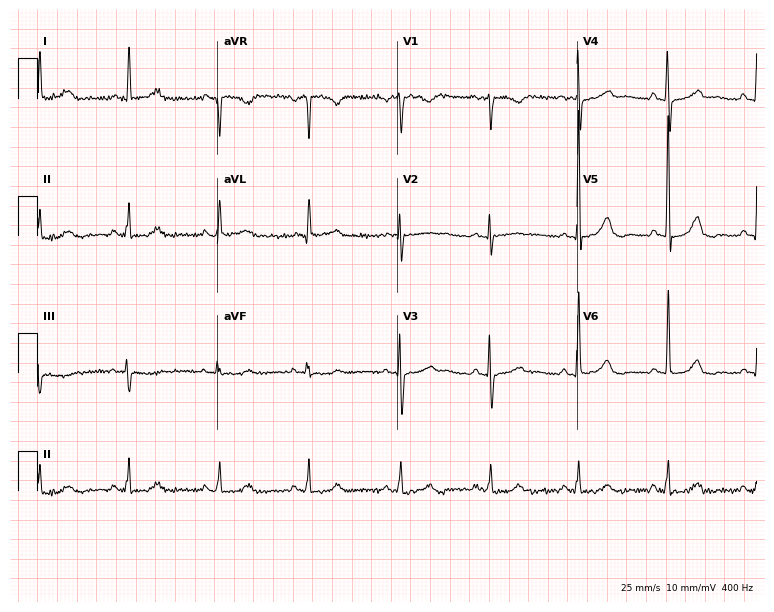
Electrocardiogram, a 68-year-old woman. Of the six screened findings (first-degree AV block, right bundle branch block, left bundle branch block, sinus bradycardia, atrial fibrillation, sinus tachycardia), none is recorded.